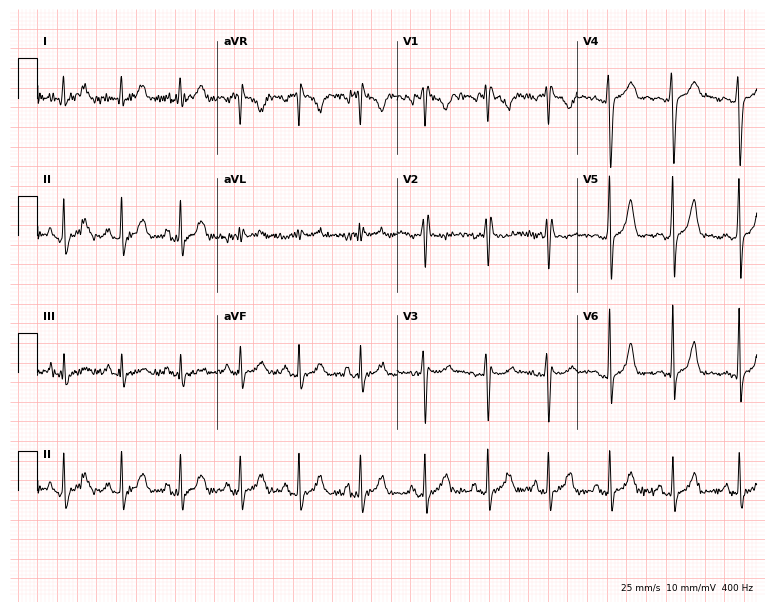
Resting 12-lead electrocardiogram (7.3-second recording at 400 Hz). Patient: a female, 24 years old. None of these six findings is recorded: first-degree AV block, right bundle branch block, left bundle branch block, sinus bradycardia, atrial fibrillation, sinus tachycardia.